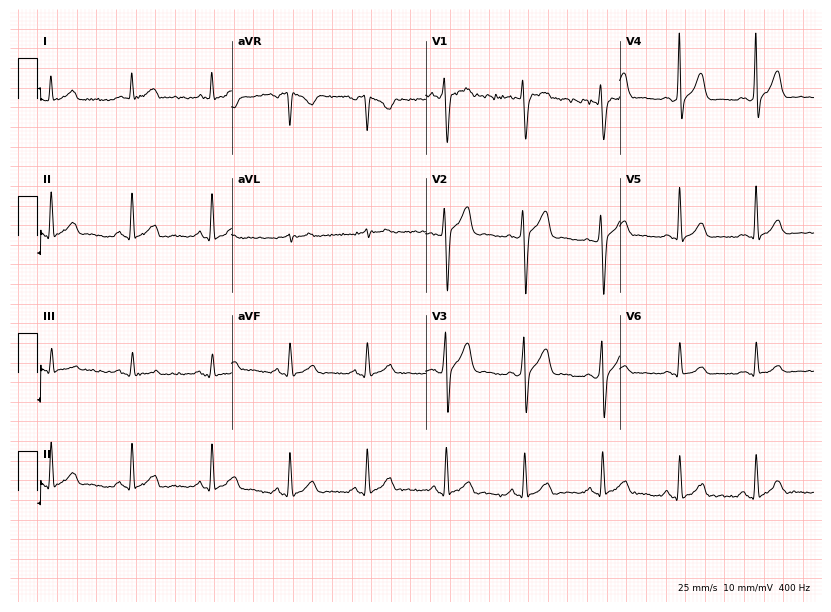
12-lead ECG from a 47-year-old male (7.9-second recording at 400 Hz). Recorded interpretation: within normal limits.